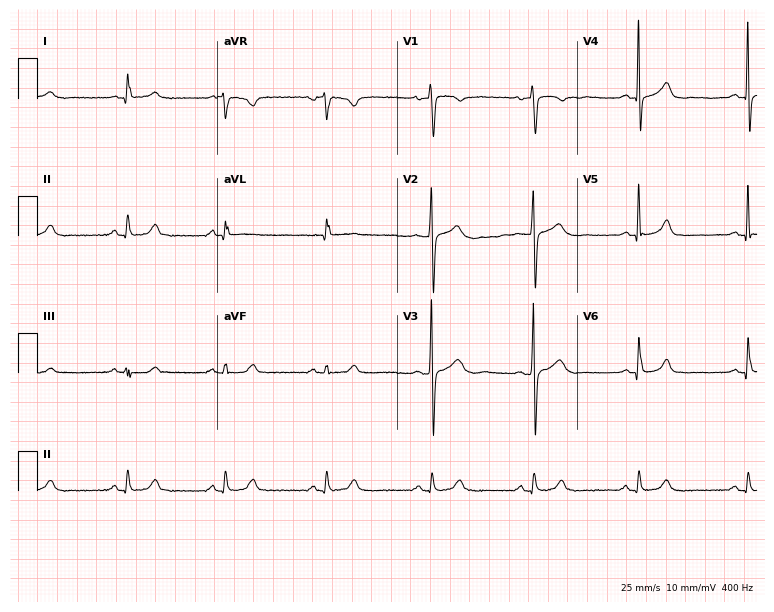
Standard 12-lead ECG recorded from a female patient, 55 years old. Read as a normal ECG.